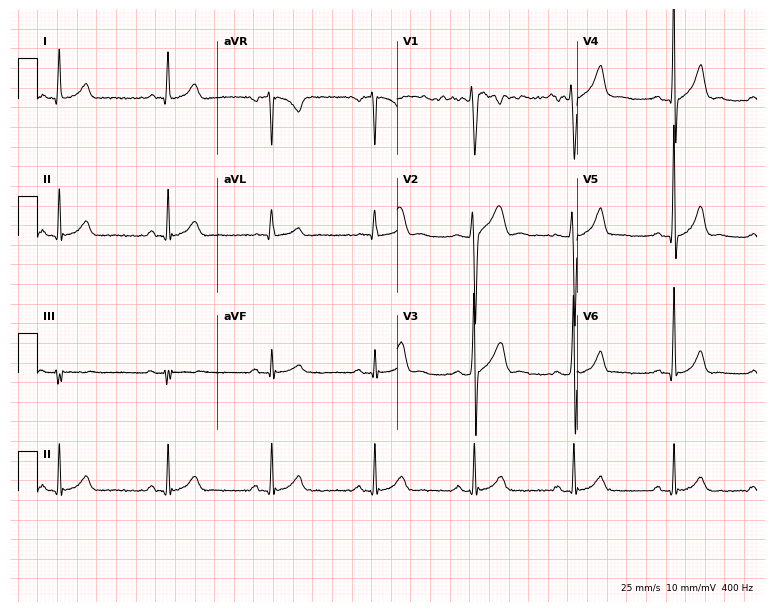
Resting 12-lead electrocardiogram. Patient: a 38-year-old man. Read as a normal ECG.